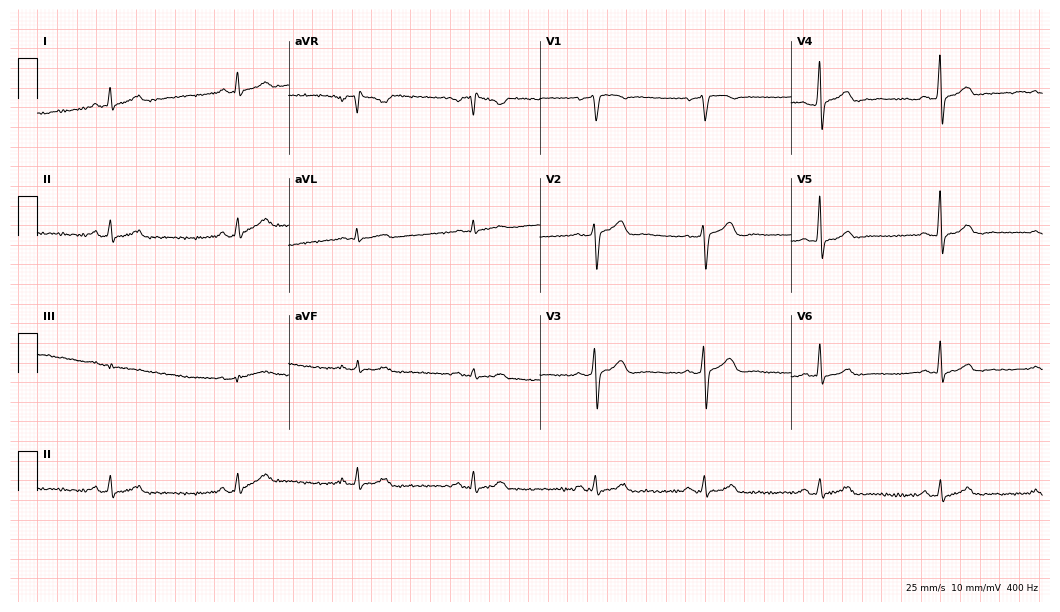
Electrocardiogram, a 39-year-old man. Of the six screened findings (first-degree AV block, right bundle branch block, left bundle branch block, sinus bradycardia, atrial fibrillation, sinus tachycardia), none is recorded. Other findings, if any, are not listed.